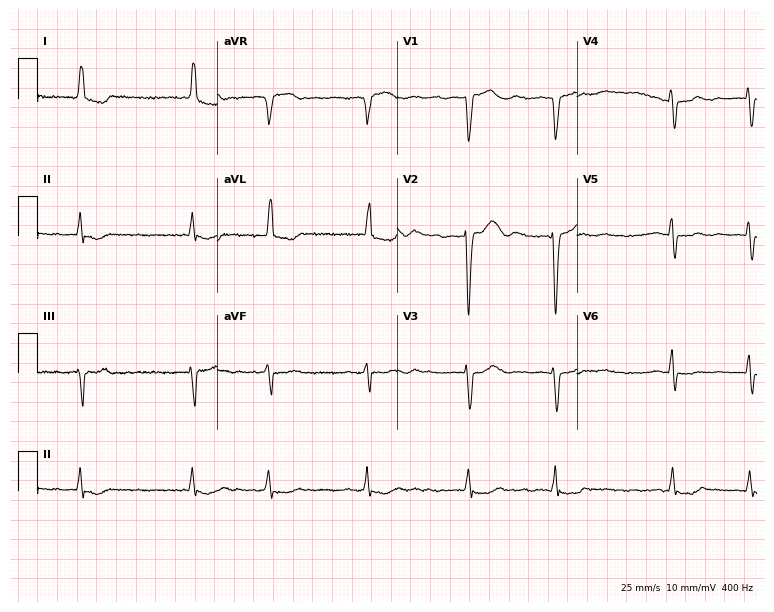
Electrocardiogram, an 80-year-old female. Interpretation includes atrial fibrillation (AF).